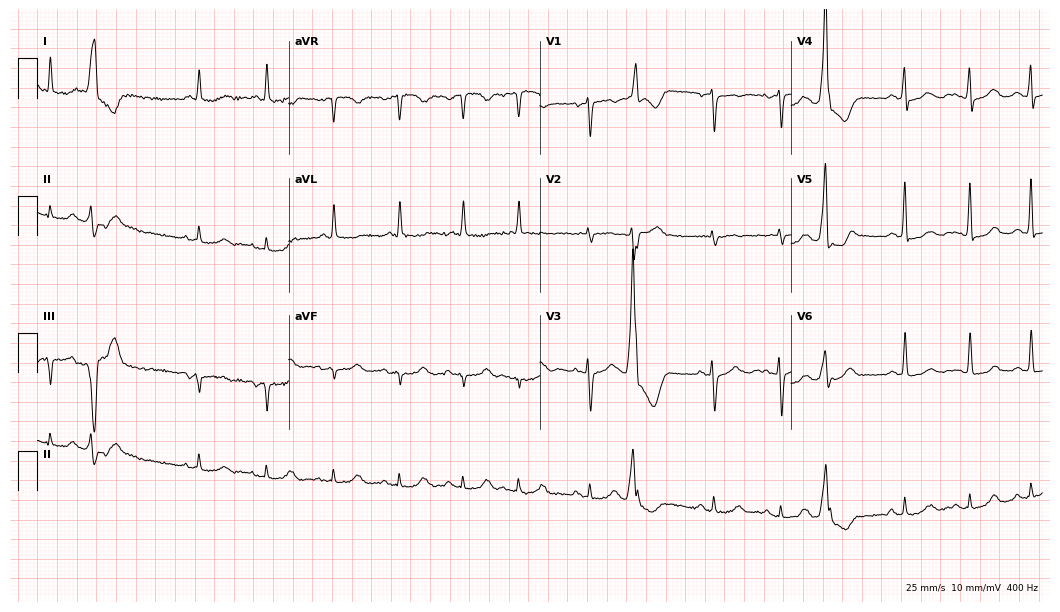
Resting 12-lead electrocardiogram (10.2-second recording at 400 Hz). Patient: a female aged 90 or older. Read as a normal ECG.